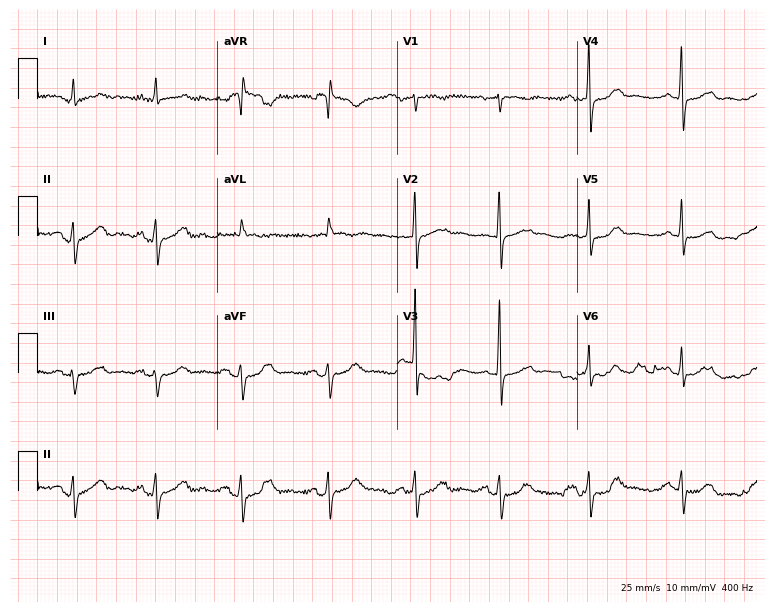
12-lead ECG (7.3-second recording at 400 Hz) from an 81-year-old female patient. Screened for six findings — first-degree AV block, right bundle branch block (RBBB), left bundle branch block (LBBB), sinus bradycardia, atrial fibrillation (AF), sinus tachycardia — none is recorded. Other findings, if any, are not listed.